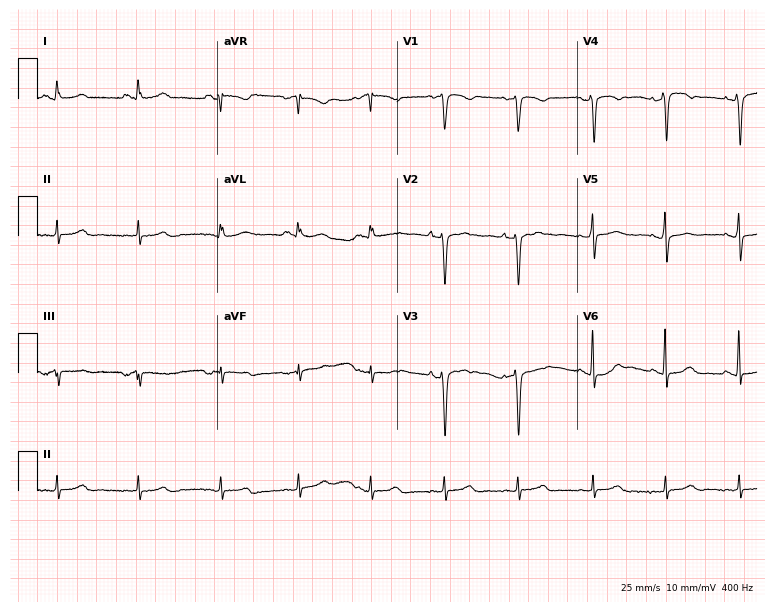
Resting 12-lead electrocardiogram. Patient: a 22-year-old female. Read as a normal ECG.